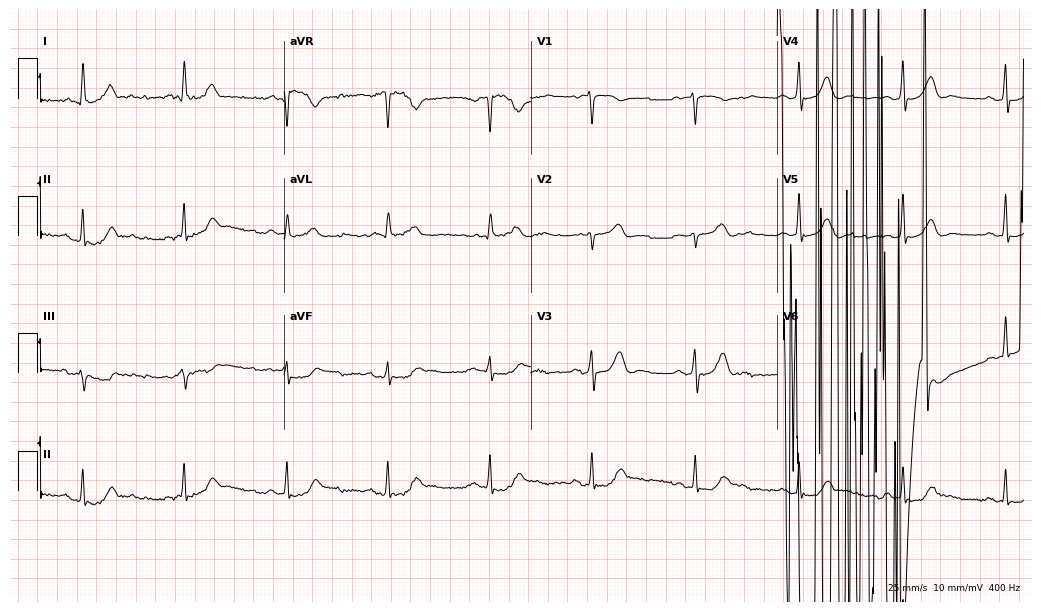
Standard 12-lead ECG recorded from a female patient, 62 years old. None of these six findings is recorded: first-degree AV block, right bundle branch block, left bundle branch block, sinus bradycardia, atrial fibrillation, sinus tachycardia.